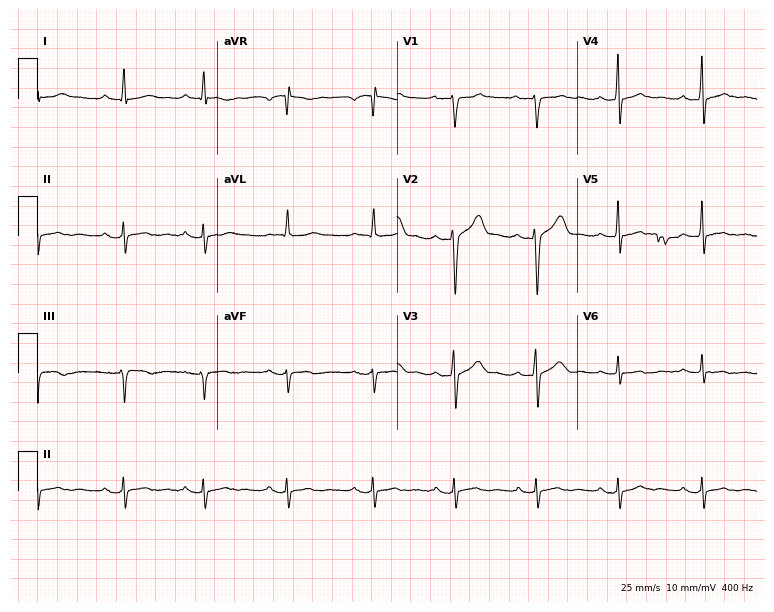
ECG — a man, 42 years old. Screened for six findings — first-degree AV block, right bundle branch block, left bundle branch block, sinus bradycardia, atrial fibrillation, sinus tachycardia — none is recorded. Other findings, if any, are not listed.